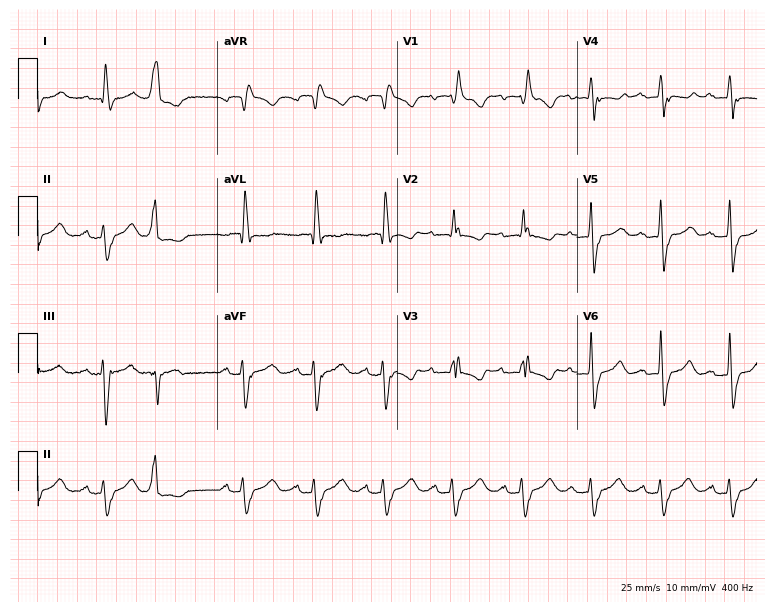
ECG (7.3-second recording at 400 Hz) — a woman, 77 years old. Findings include right bundle branch block.